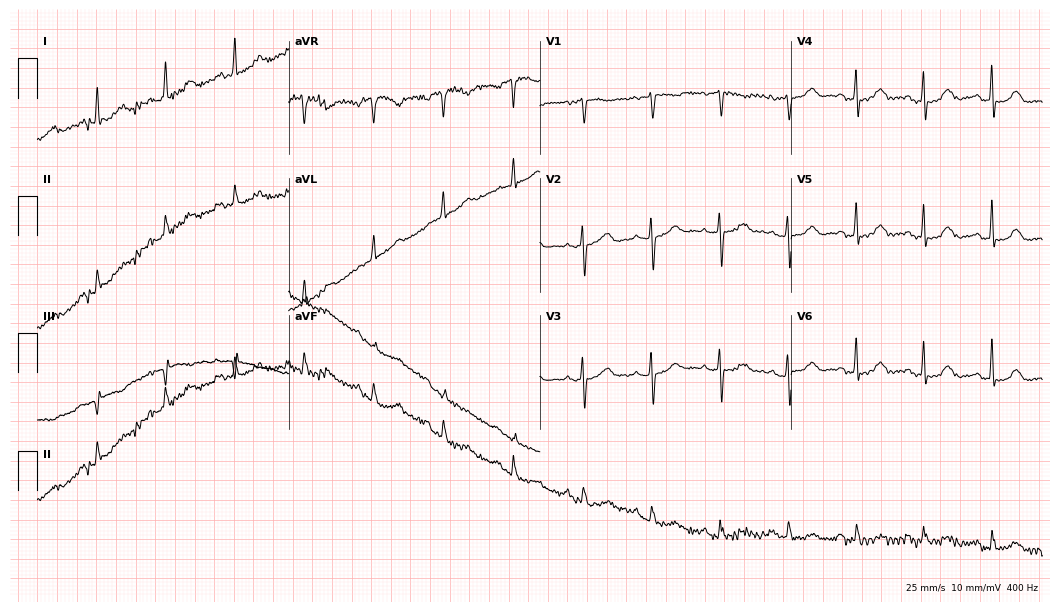
Standard 12-lead ECG recorded from a 76-year-old female patient (10.2-second recording at 400 Hz). Read as a normal ECG.